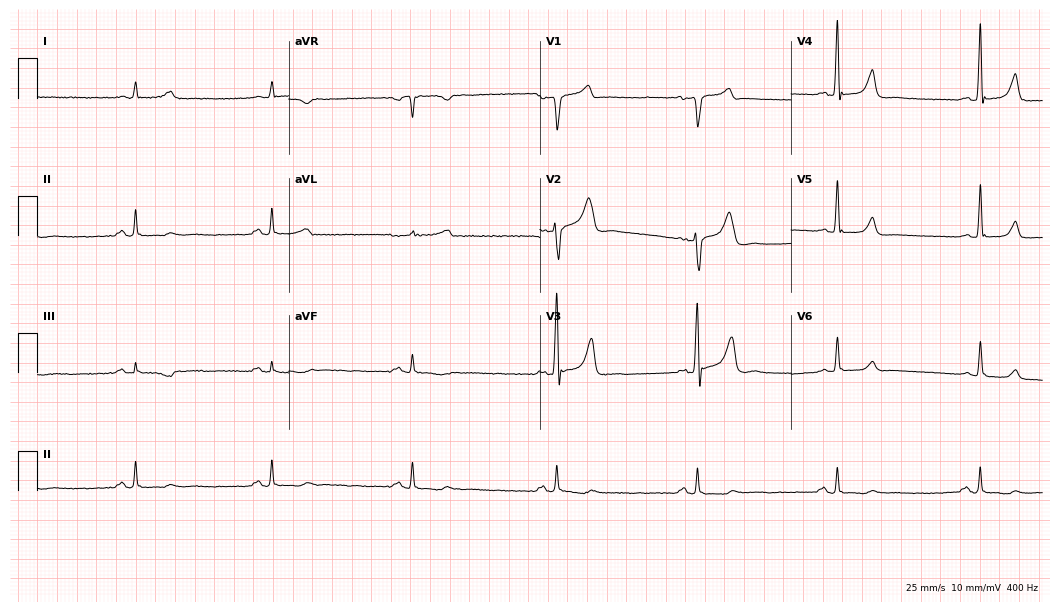
ECG (10.2-second recording at 400 Hz) — a 55-year-old man. Screened for six findings — first-degree AV block, right bundle branch block, left bundle branch block, sinus bradycardia, atrial fibrillation, sinus tachycardia — none is recorded. Findings outside these six are not listed.